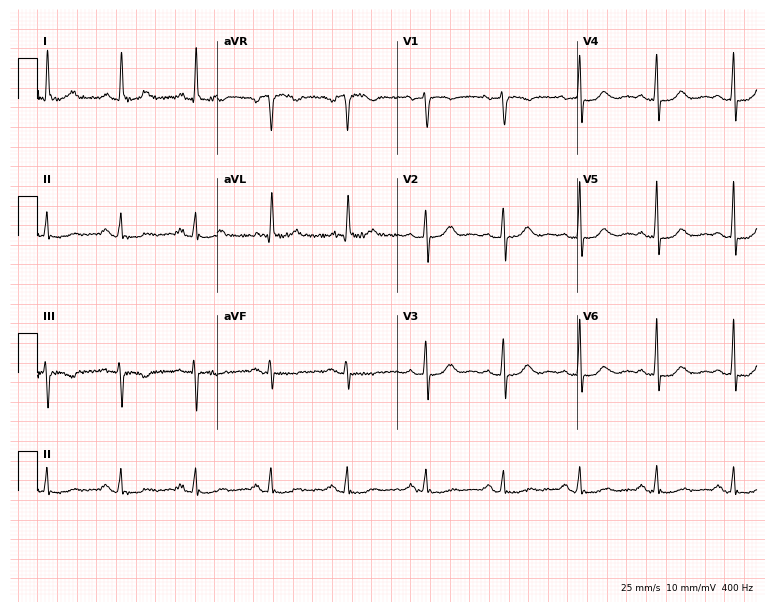
Standard 12-lead ECG recorded from a female patient, 72 years old (7.3-second recording at 400 Hz). None of these six findings is recorded: first-degree AV block, right bundle branch block, left bundle branch block, sinus bradycardia, atrial fibrillation, sinus tachycardia. Other findings, if any, are not listed.